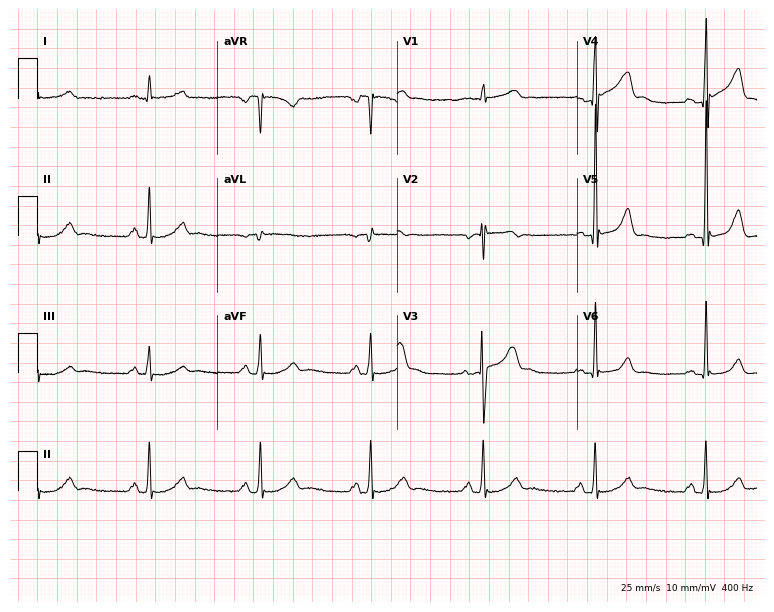
Resting 12-lead electrocardiogram (7.3-second recording at 400 Hz). Patient: a male, 59 years old. Read as a normal ECG.